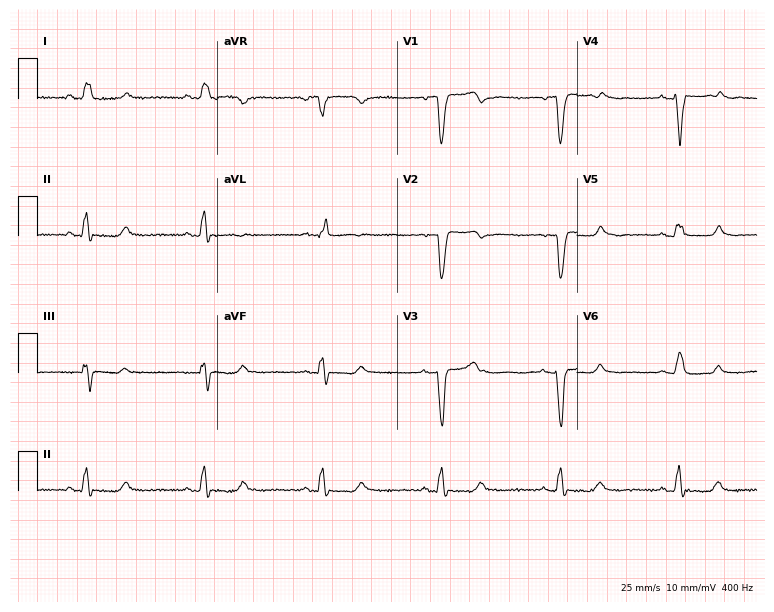
Standard 12-lead ECG recorded from a 65-year-old female (7.3-second recording at 400 Hz). None of these six findings is recorded: first-degree AV block, right bundle branch block, left bundle branch block, sinus bradycardia, atrial fibrillation, sinus tachycardia.